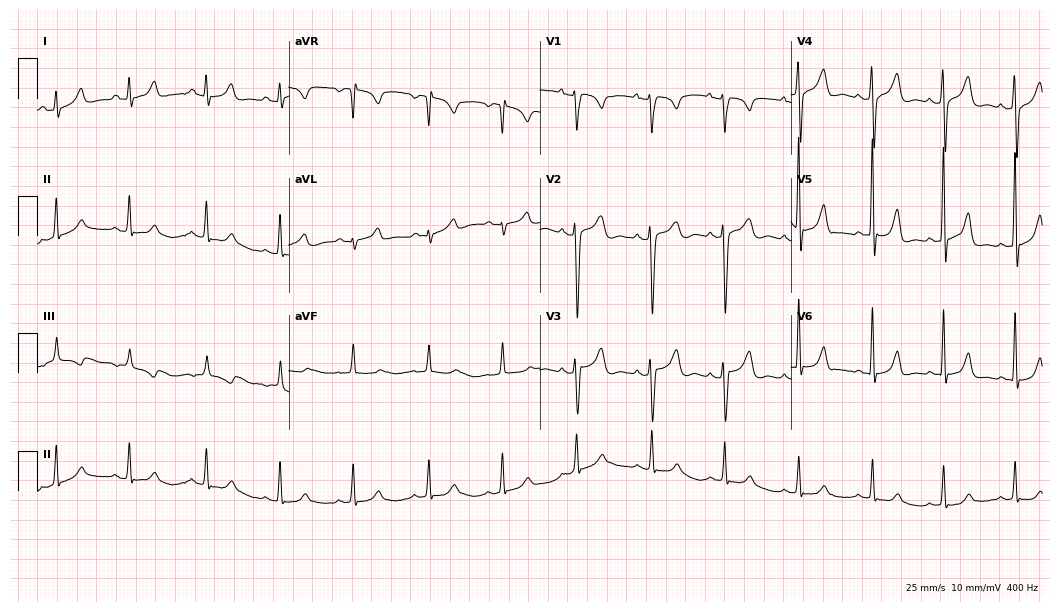
12-lead ECG from a female, 25 years old (10.2-second recording at 400 Hz). No first-degree AV block, right bundle branch block, left bundle branch block, sinus bradycardia, atrial fibrillation or sinus tachycardia recorded for this tracing.